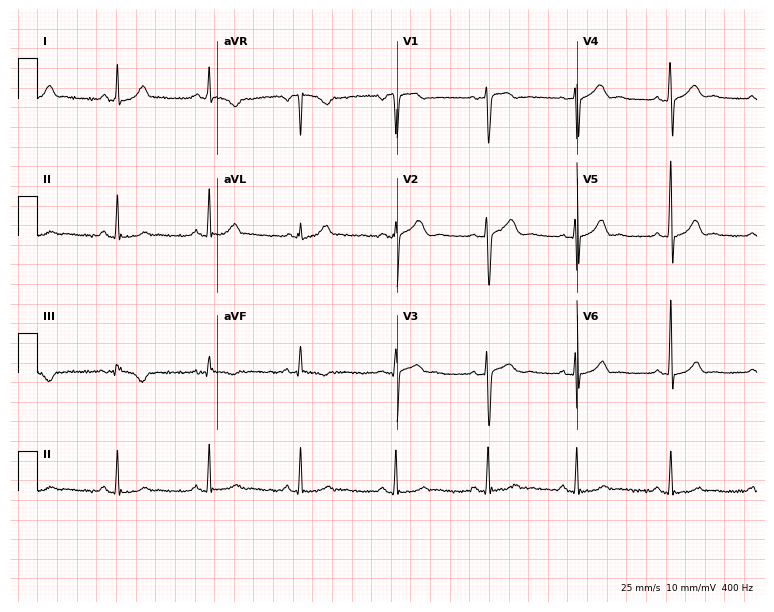
Electrocardiogram (7.3-second recording at 400 Hz), a female, 30 years old. Of the six screened findings (first-degree AV block, right bundle branch block (RBBB), left bundle branch block (LBBB), sinus bradycardia, atrial fibrillation (AF), sinus tachycardia), none is recorded.